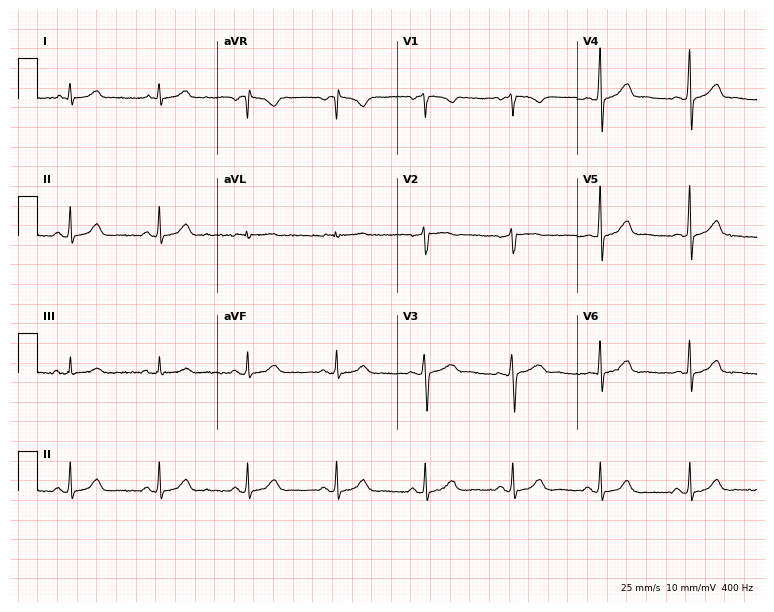
ECG (7.3-second recording at 400 Hz) — a 51-year-old female patient. Screened for six findings — first-degree AV block, right bundle branch block (RBBB), left bundle branch block (LBBB), sinus bradycardia, atrial fibrillation (AF), sinus tachycardia — none is recorded. Only these six findings were labelled.